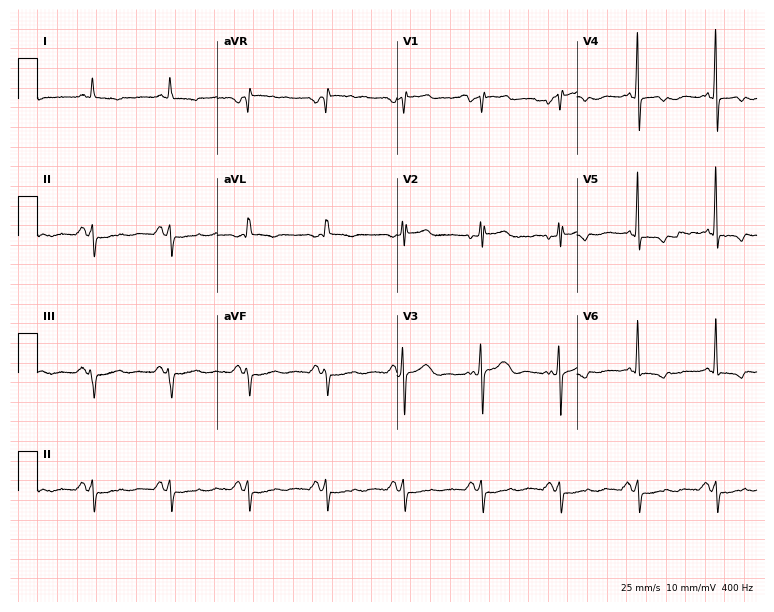
Standard 12-lead ECG recorded from a man, 68 years old (7.3-second recording at 400 Hz). None of these six findings is recorded: first-degree AV block, right bundle branch block (RBBB), left bundle branch block (LBBB), sinus bradycardia, atrial fibrillation (AF), sinus tachycardia. Other findings, if any, are not listed.